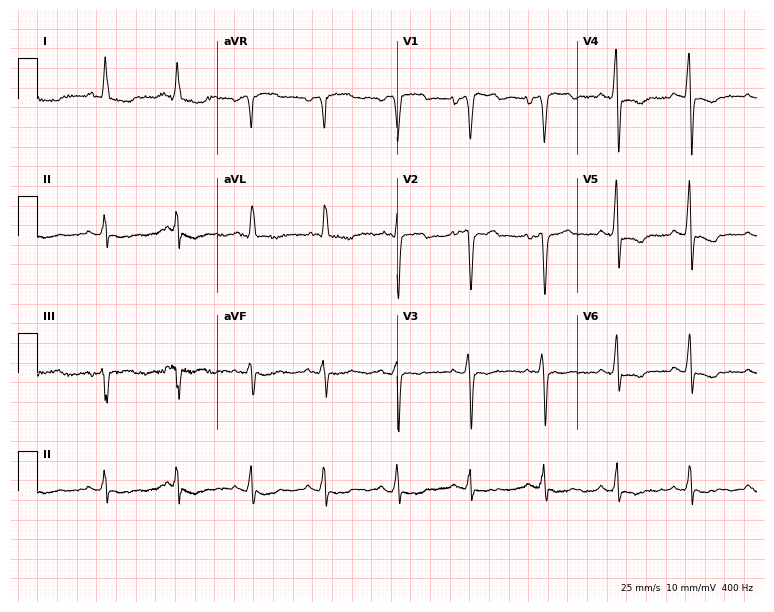
ECG — a 50-year-old woman. Screened for six findings — first-degree AV block, right bundle branch block, left bundle branch block, sinus bradycardia, atrial fibrillation, sinus tachycardia — none is recorded.